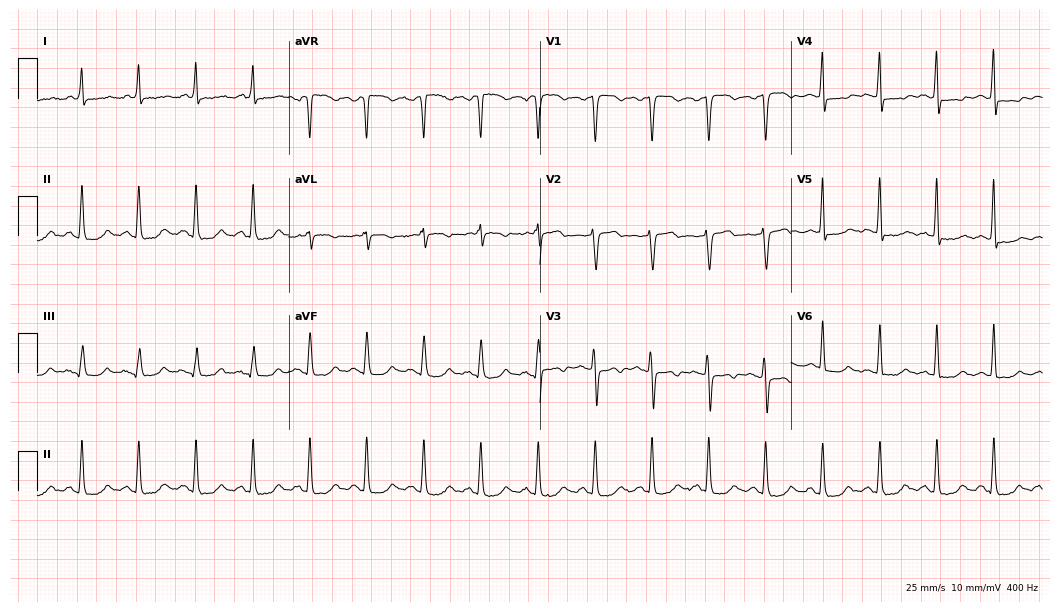
Resting 12-lead electrocardiogram (10.2-second recording at 400 Hz). Patient: a female, 41 years old. The tracing shows sinus tachycardia (a sinus rate of 100 beats per minute or more).